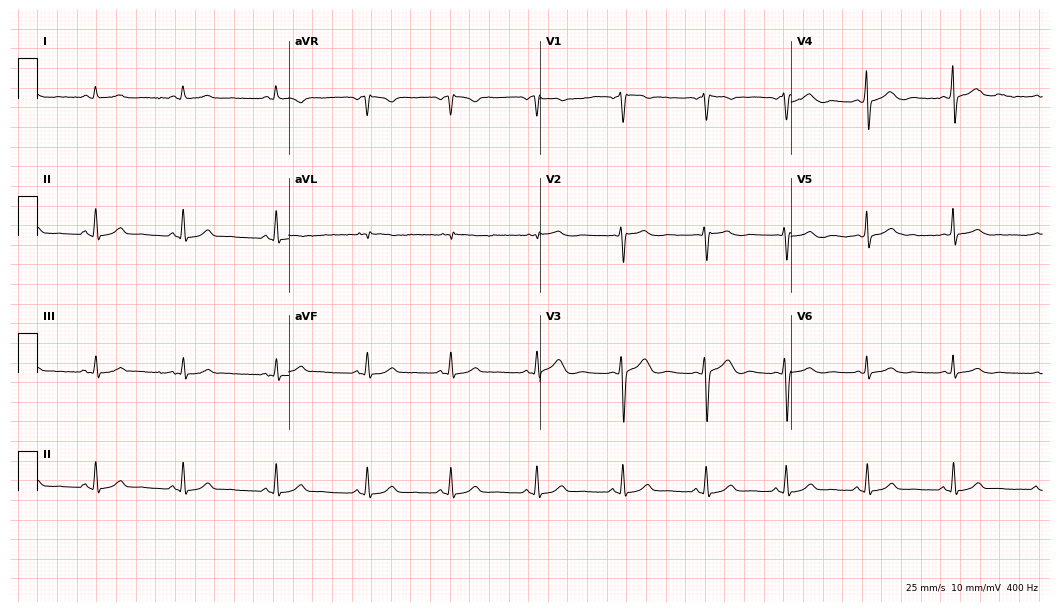
Standard 12-lead ECG recorded from a female patient, 39 years old (10.2-second recording at 400 Hz). Read as a normal ECG.